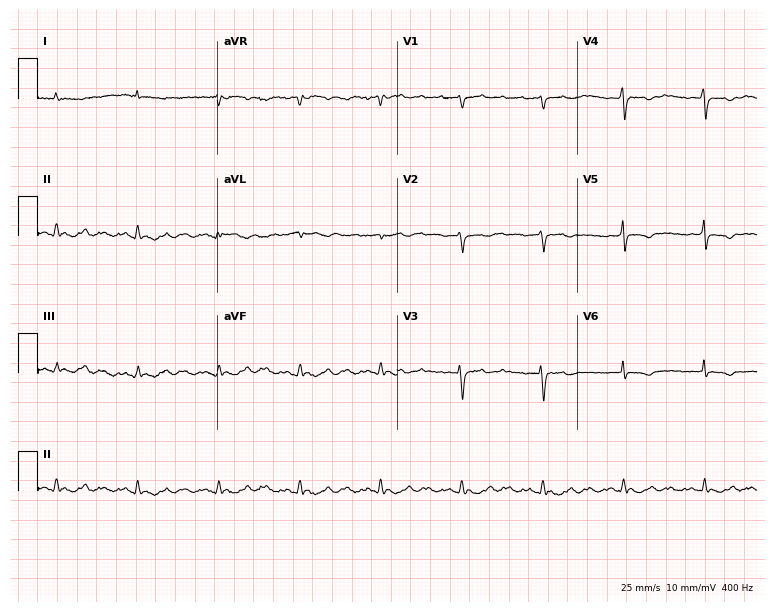
12-lead ECG from a 75-year-old male (7.3-second recording at 400 Hz). No first-degree AV block, right bundle branch block, left bundle branch block, sinus bradycardia, atrial fibrillation or sinus tachycardia recorded for this tracing. Other findings, if any, are not listed.